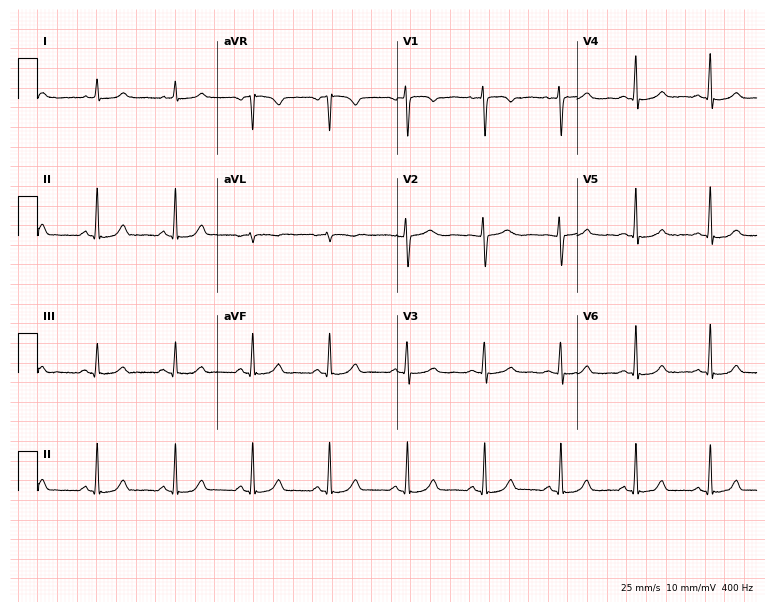
Resting 12-lead electrocardiogram. Patient: a female, 34 years old. None of these six findings is recorded: first-degree AV block, right bundle branch block, left bundle branch block, sinus bradycardia, atrial fibrillation, sinus tachycardia. Other findings, if any, are not listed.